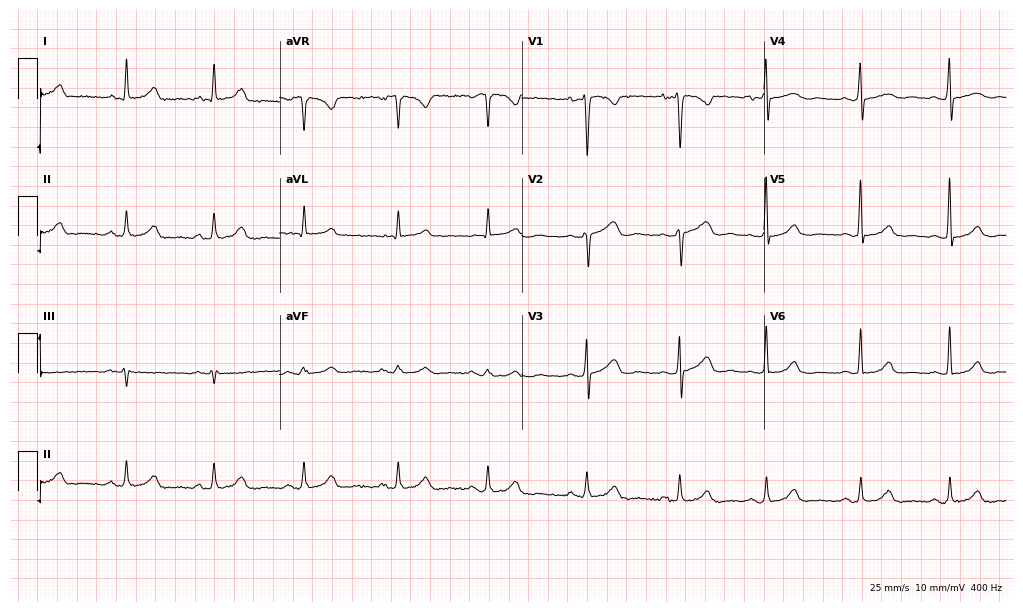
12-lead ECG (9.9-second recording at 400 Hz) from a 33-year-old woman. Labelled as a normal ECG.